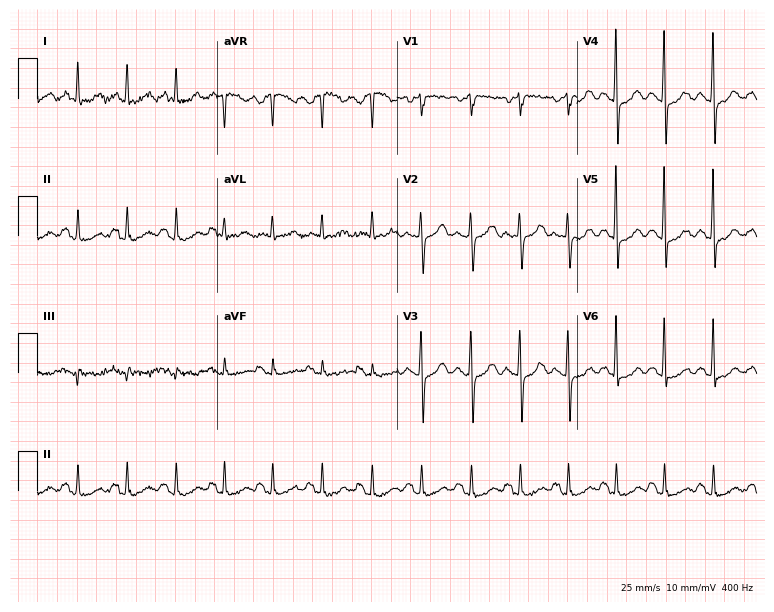
Electrocardiogram (7.3-second recording at 400 Hz), a 42-year-old female patient. Interpretation includes sinus tachycardia (a sinus rate of 100 beats per minute or more).